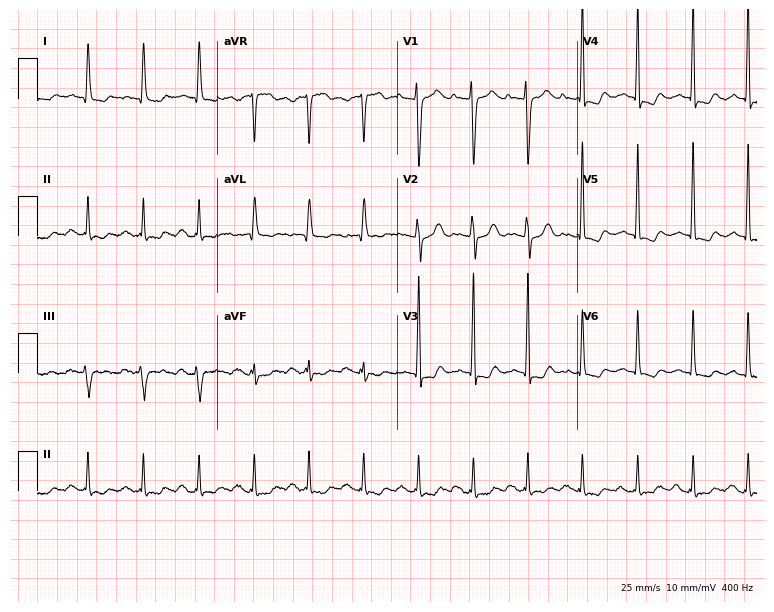
12-lead ECG (7.3-second recording at 400 Hz) from a female, 75 years old. Findings include sinus tachycardia (a sinus rate of 100 beats per minute or more).